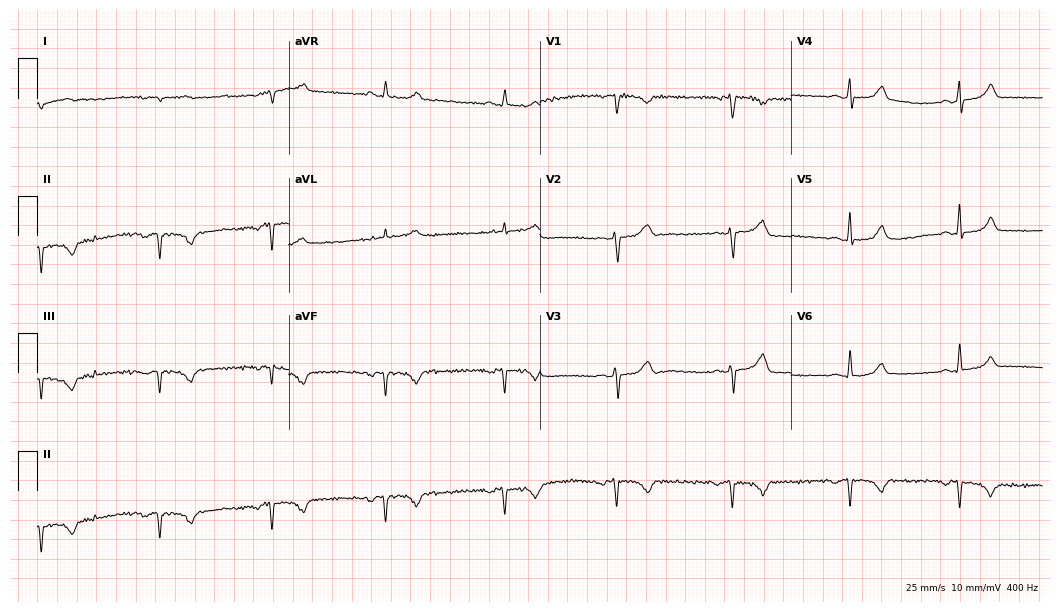
Standard 12-lead ECG recorded from a female patient, 71 years old. None of these six findings is recorded: first-degree AV block, right bundle branch block (RBBB), left bundle branch block (LBBB), sinus bradycardia, atrial fibrillation (AF), sinus tachycardia.